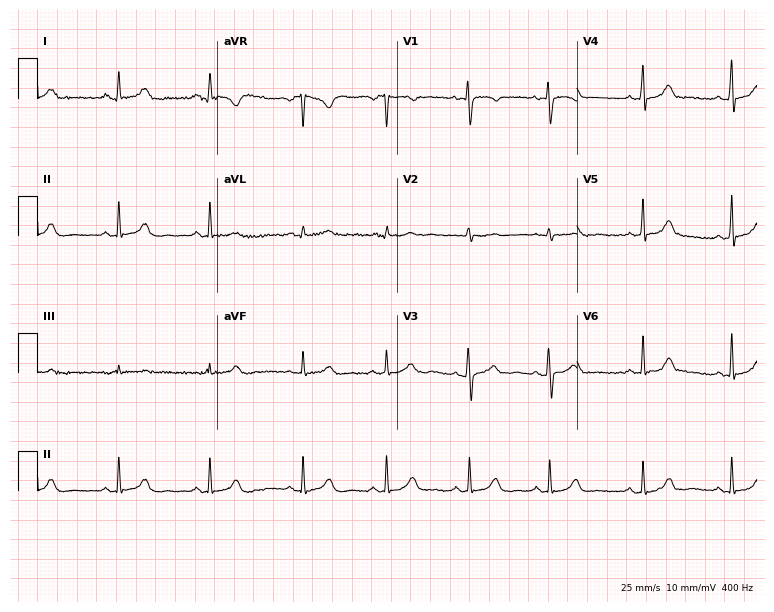
Resting 12-lead electrocardiogram. Patient: a female, 27 years old. Read as a normal ECG.